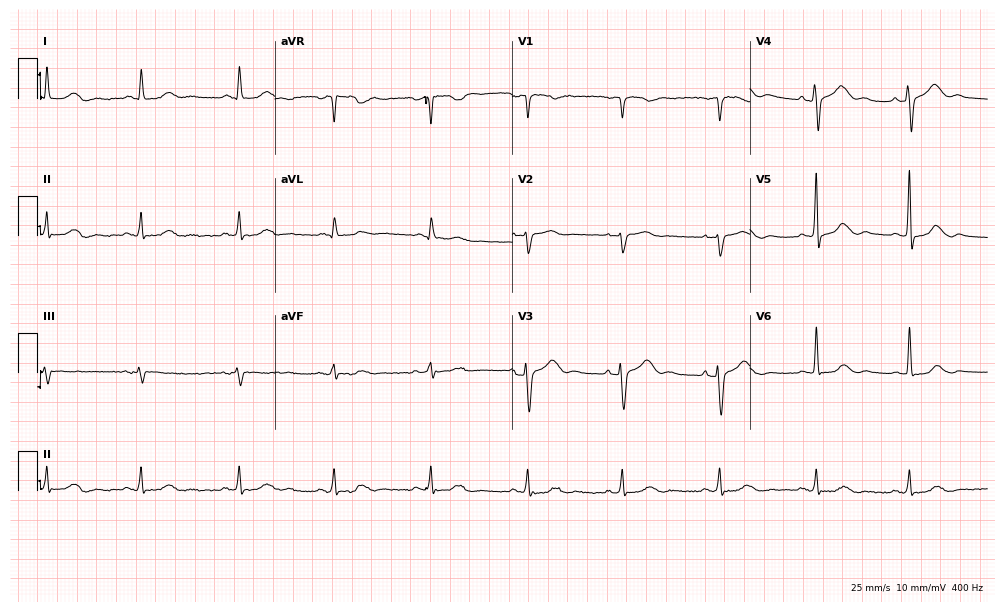
Resting 12-lead electrocardiogram (9.7-second recording at 400 Hz). Patient: a 61-year-old female. None of these six findings is recorded: first-degree AV block, right bundle branch block, left bundle branch block, sinus bradycardia, atrial fibrillation, sinus tachycardia. Other findings, if any, are not listed.